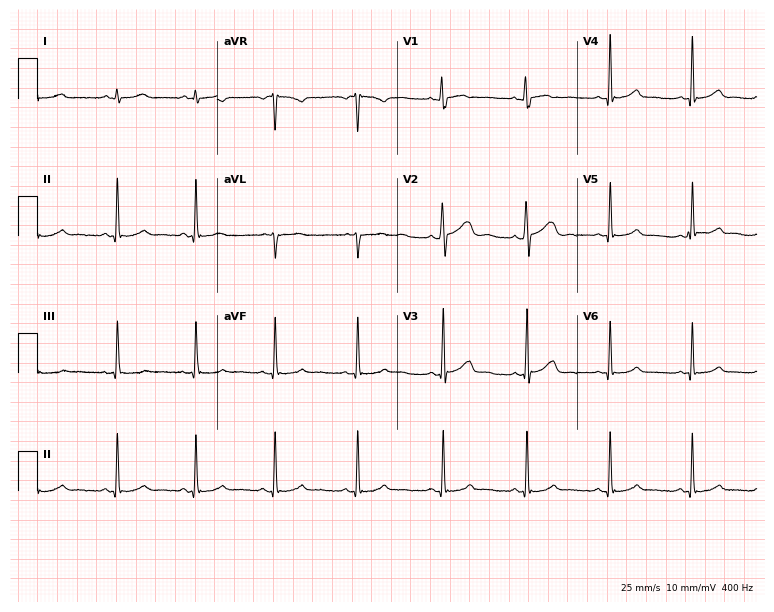
Electrocardiogram (7.3-second recording at 400 Hz), a female patient, 22 years old. Overall reading on record: normal ECG.